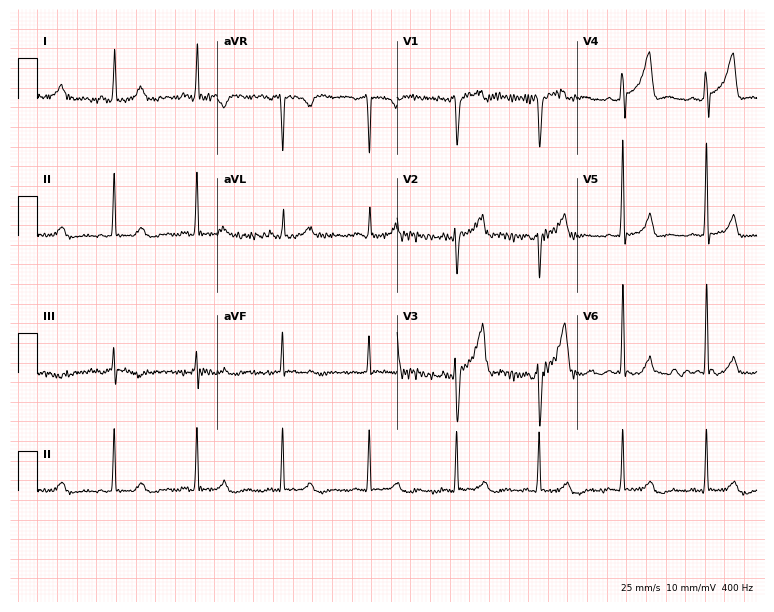
12-lead ECG from a 30-year-old male patient. No first-degree AV block, right bundle branch block, left bundle branch block, sinus bradycardia, atrial fibrillation or sinus tachycardia recorded for this tracing.